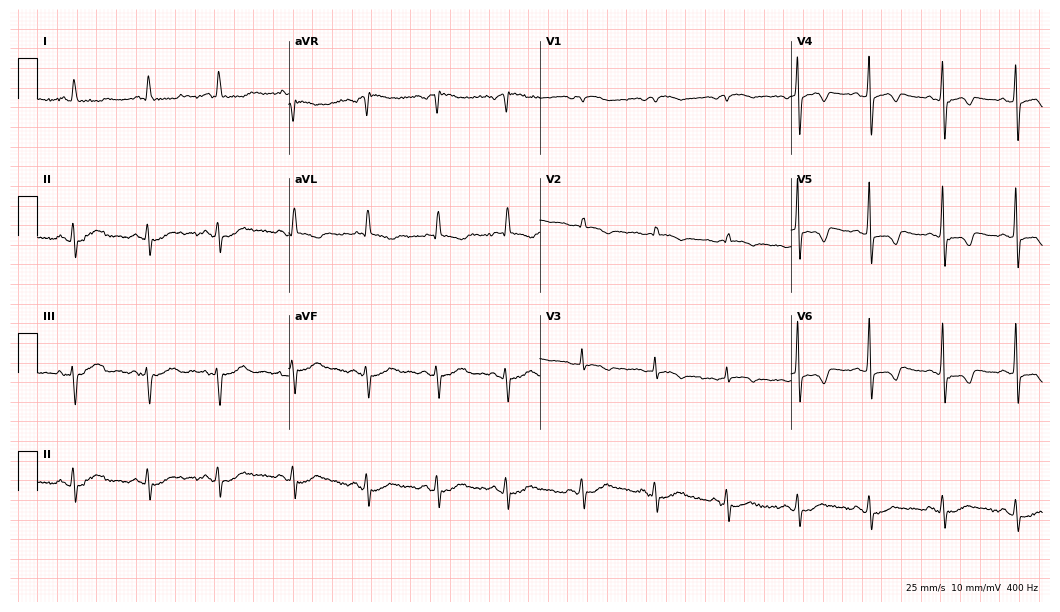
12-lead ECG (10.2-second recording at 400 Hz) from a woman, 71 years old. Screened for six findings — first-degree AV block, right bundle branch block, left bundle branch block, sinus bradycardia, atrial fibrillation, sinus tachycardia — none is recorded.